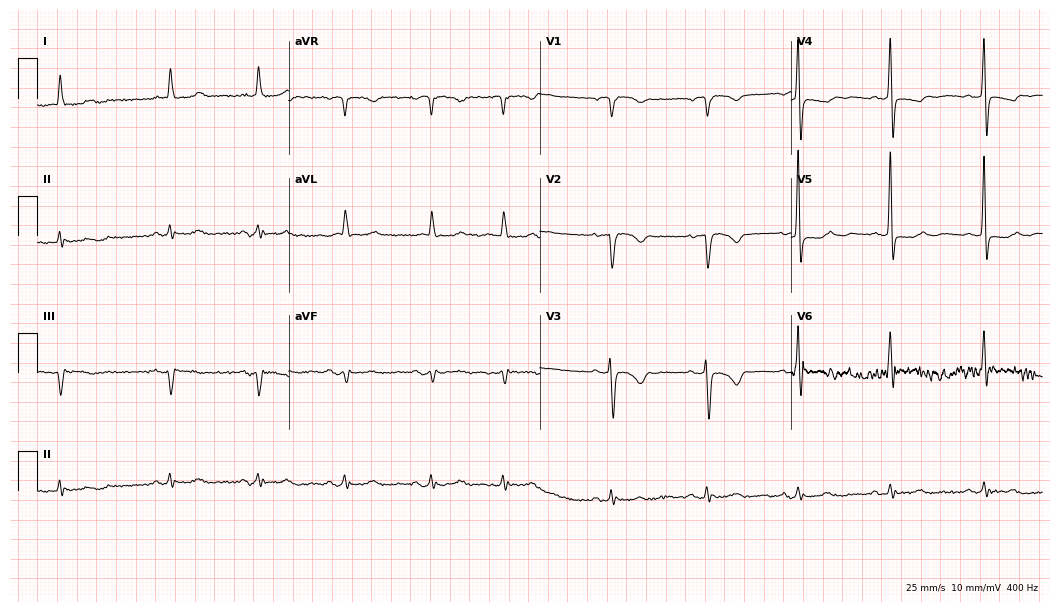
ECG (10.2-second recording at 400 Hz) — a female patient, 74 years old. Screened for six findings — first-degree AV block, right bundle branch block, left bundle branch block, sinus bradycardia, atrial fibrillation, sinus tachycardia — none is recorded.